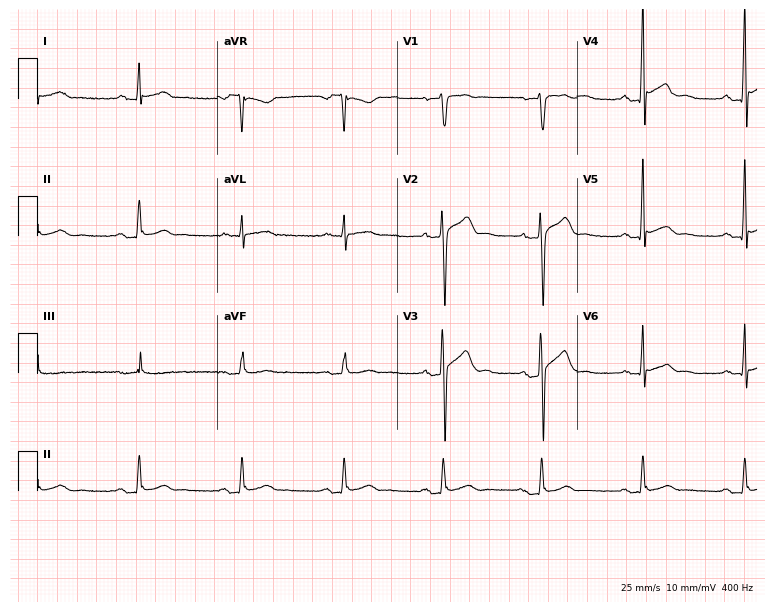
Standard 12-lead ECG recorded from a male patient, 46 years old. None of these six findings is recorded: first-degree AV block, right bundle branch block (RBBB), left bundle branch block (LBBB), sinus bradycardia, atrial fibrillation (AF), sinus tachycardia. Other findings, if any, are not listed.